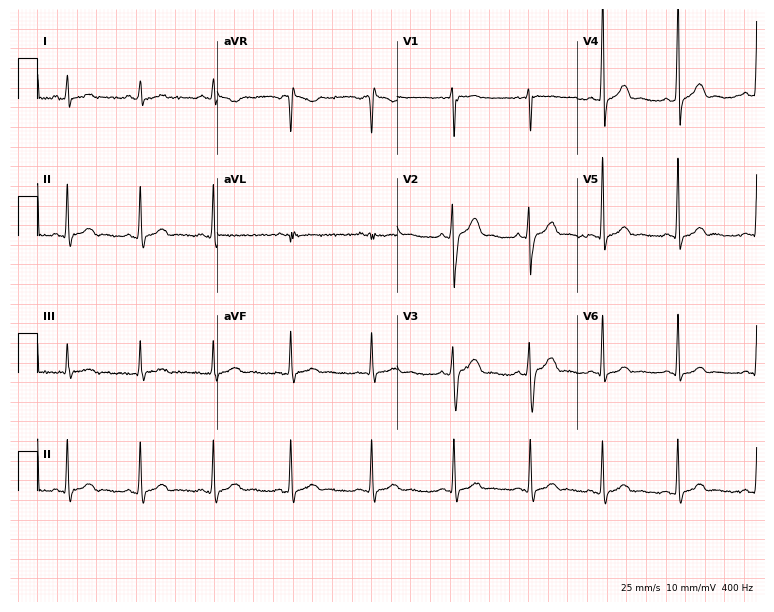
ECG — an 18-year-old male. Labelled as a normal ECG.